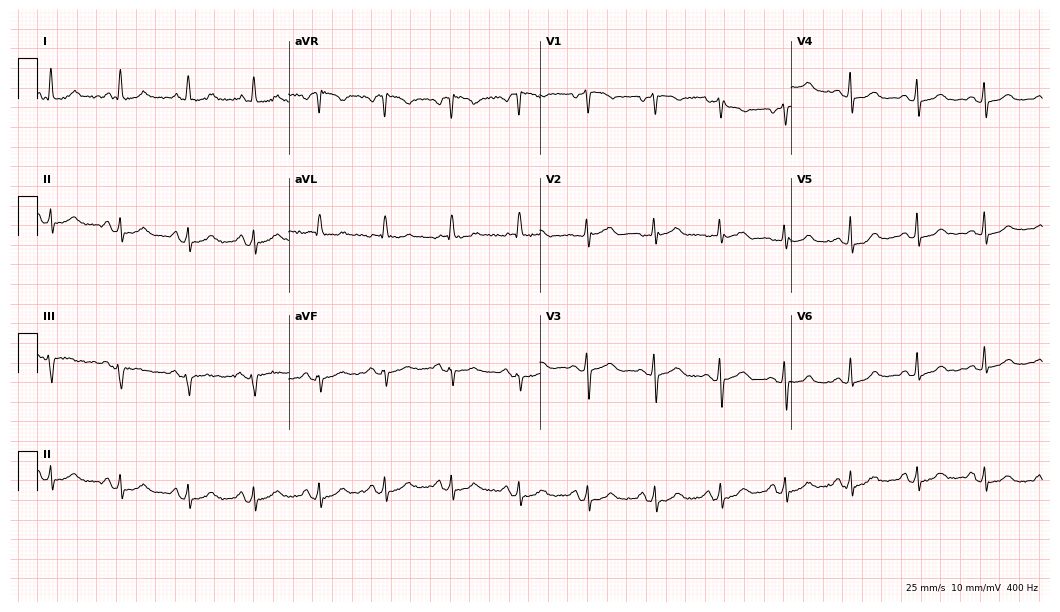
Standard 12-lead ECG recorded from a female patient, 55 years old. Read as a normal ECG.